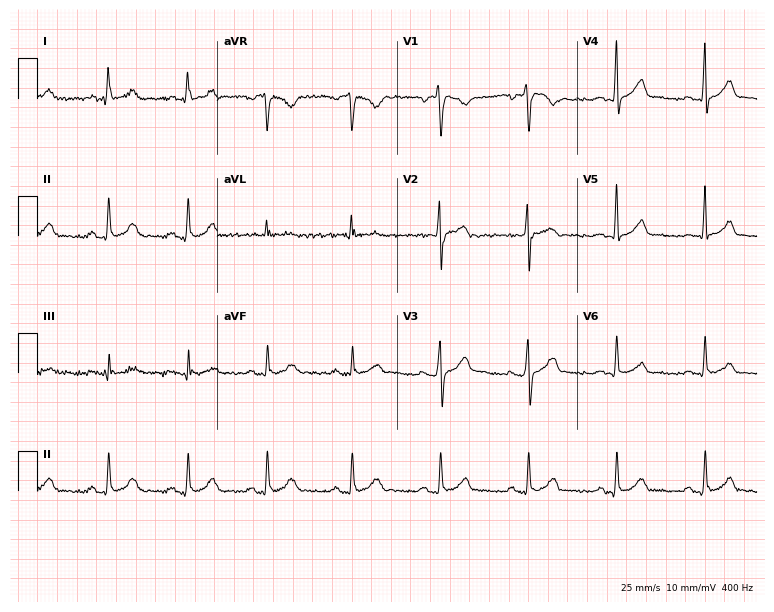
Standard 12-lead ECG recorded from a male patient, 28 years old. Read as a normal ECG.